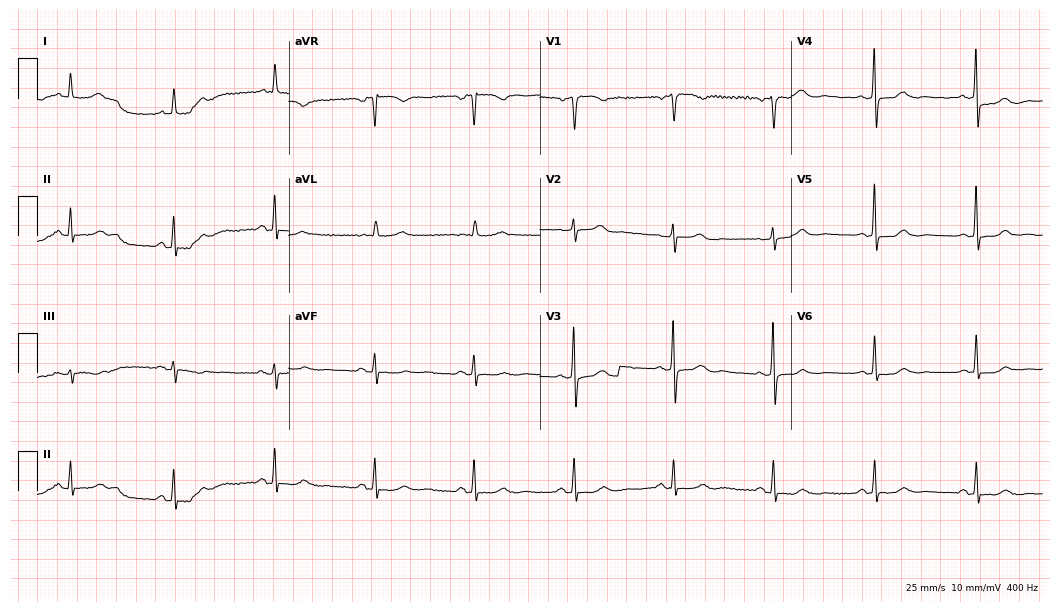
12-lead ECG from a female, 85 years old (10.2-second recording at 400 Hz). No first-degree AV block, right bundle branch block, left bundle branch block, sinus bradycardia, atrial fibrillation or sinus tachycardia recorded for this tracing.